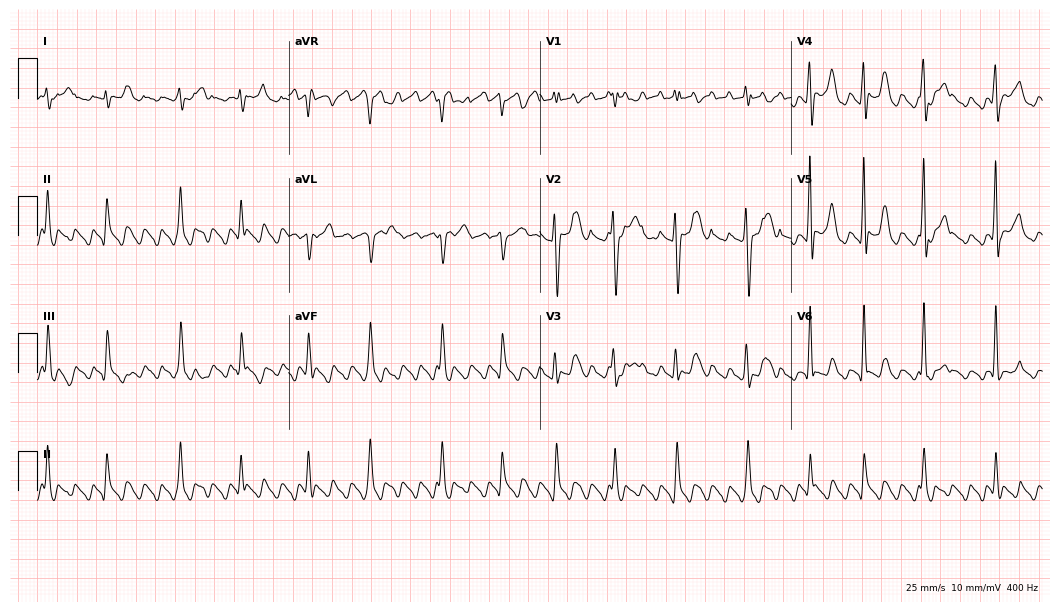
ECG — a 53-year-old male patient. Screened for six findings — first-degree AV block, right bundle branch block, left bundle branch block, sinus bradycardia, atrial fibrillation, sinus tachycardia — none is recorded.